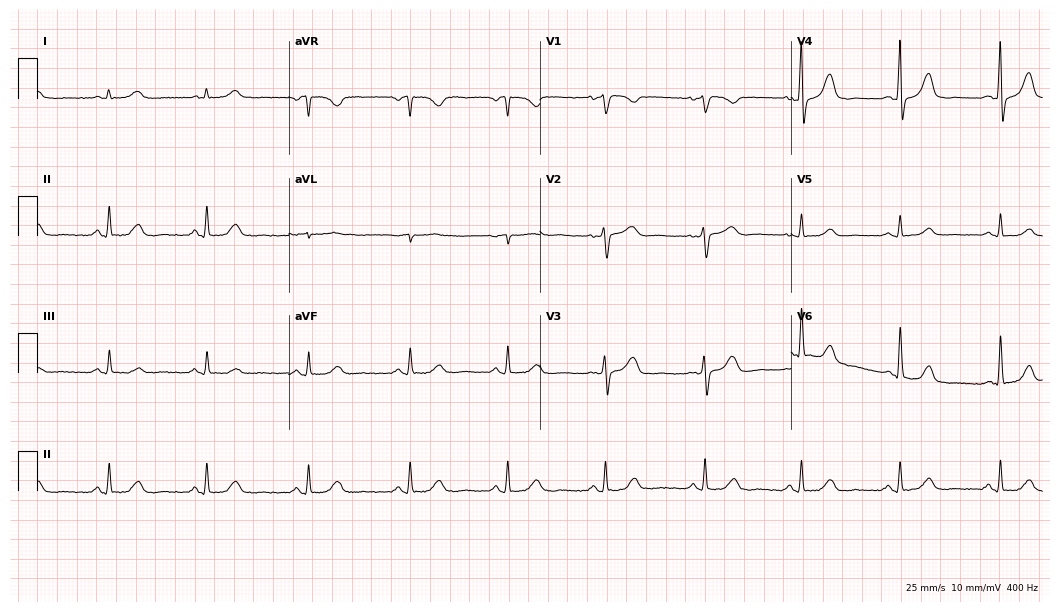
12-lead ECG (10.2-second recording at 400 Hz) from a 62-year-old female. Labelled as a normal ECG.